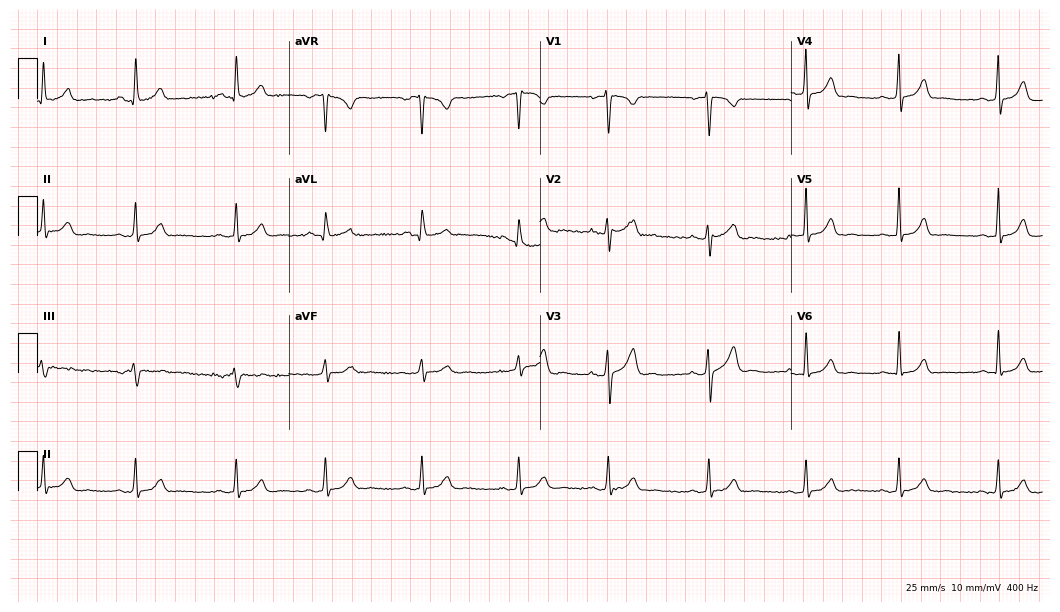
Electrocardiogram (10.2-second recording at 400 Hz), a female patient, 30 years old. Overall reading on record: normal ECG.